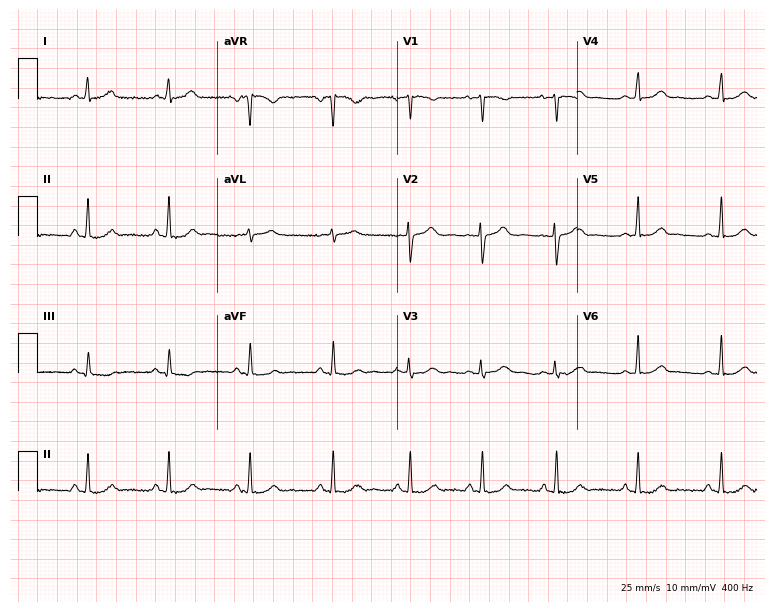
12-lead ECG from a female patient, 18 years old. Recorded interpretation: within normal limits.